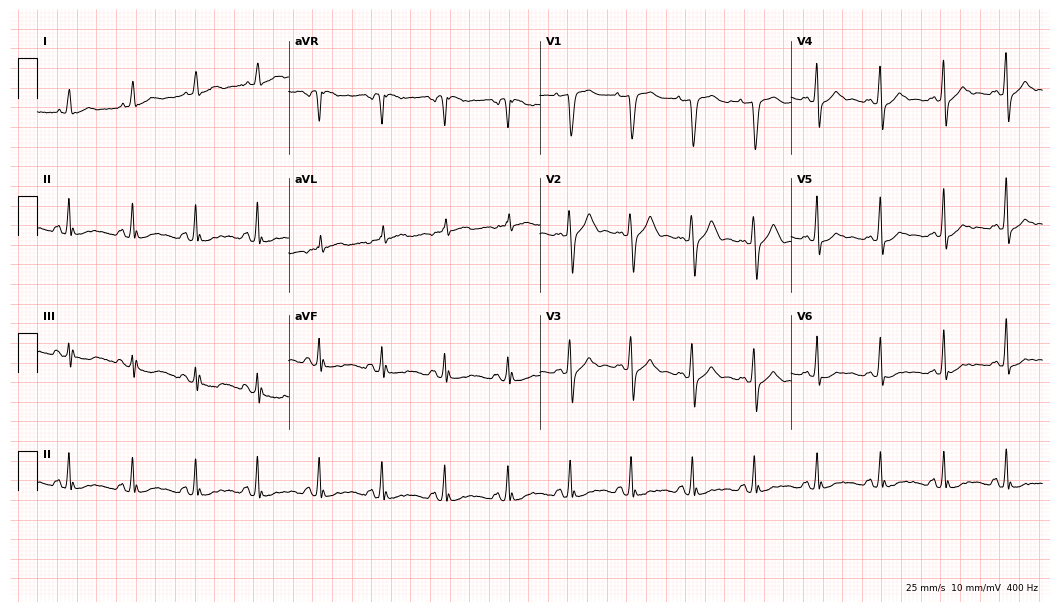
12-lead ECG (10.2-second recording at 400 Hz) from a woman, 66 years old. Screened for six findings — first-degree AV block, right bundle branch block, left bundle branch block, sinus bradycardia, atrial fibrillation, sinus tachycardia — none is recorded.